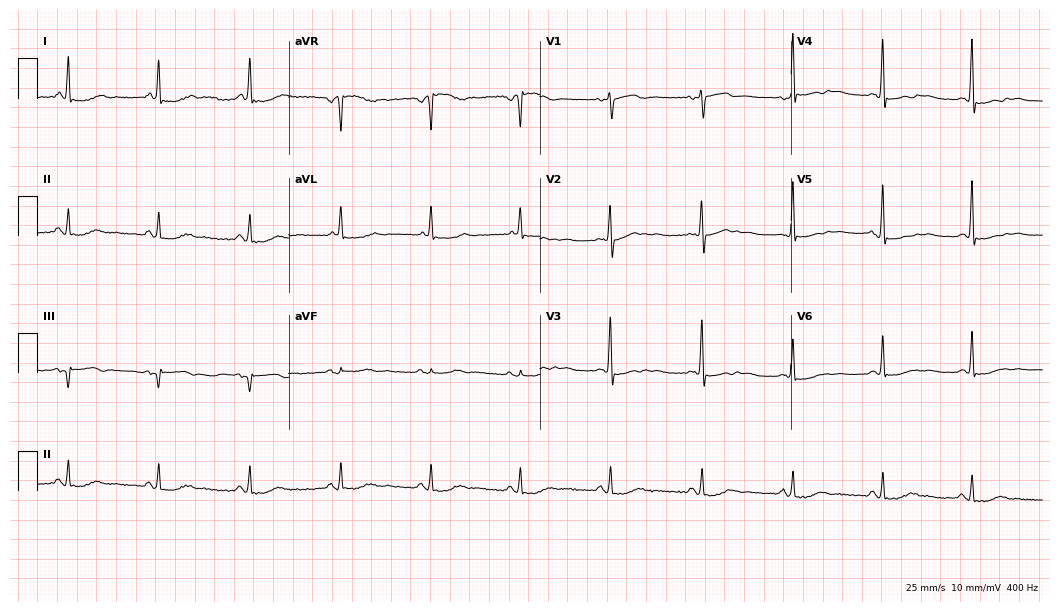
Electrocardiogram, a 62-year-old female. Of the six screened findings (first-degree AV block, right bundle branch block, left bundle branch block, sinus bradycardia, atrial fibrillation, sinus tachycardia), none is recorded. Only these six findings were labelled.